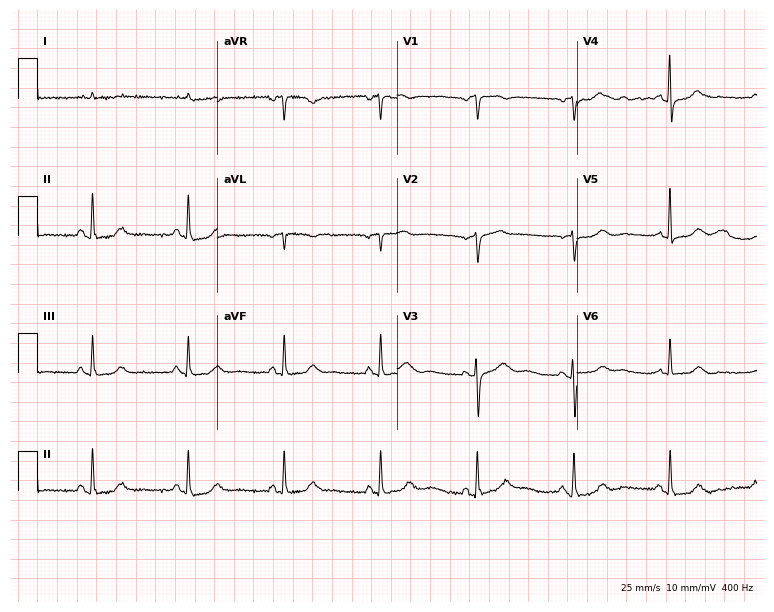
12-lead ECG from a woman, 83 years old. No first-degree AV block, right bundle branch block (RBBB), left bundle branch block (LBBB), sinus bradycardia, atrial fibrillation (AF) or sinus tachycardia recorded for this tracing. Findings outside these six are not listed.